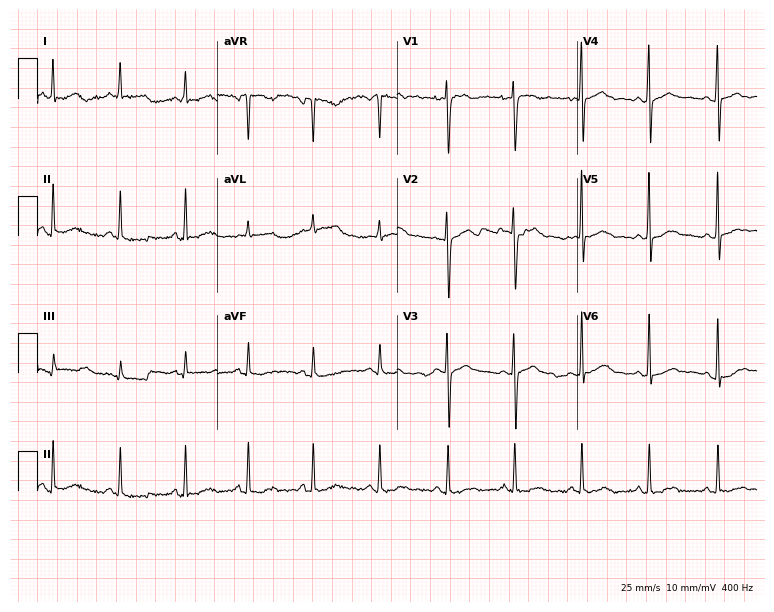
Resting 12-lead electrocardiogram. Patient: a female, 21 years old. Read as a normal ECG.